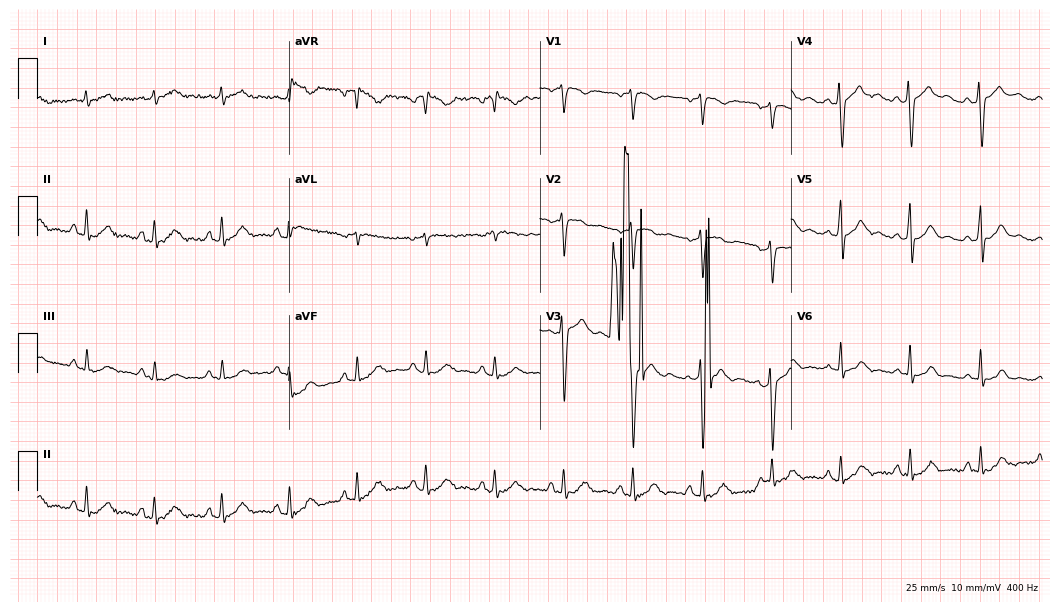
ECG (10.2-second recording at 400 Hz) — a male, 44 years old. Labelled as a normal ECG.